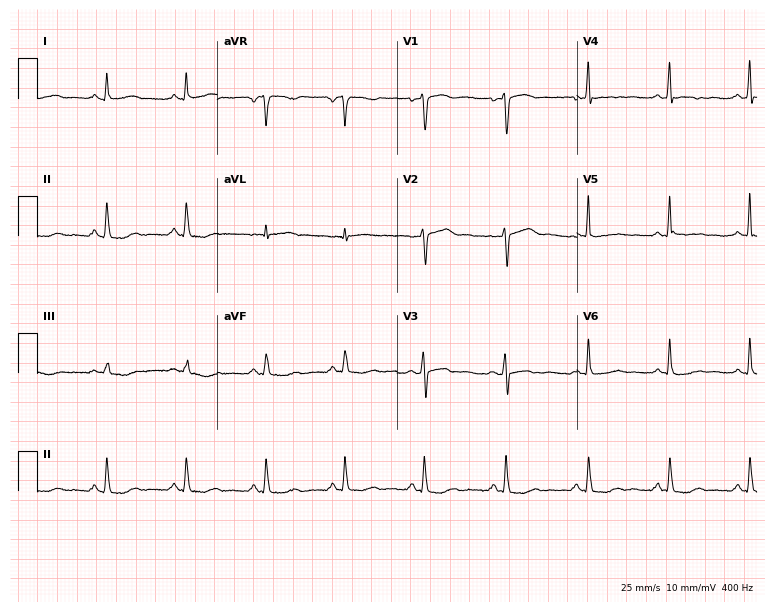
12-lead ECG from a female patient, 51 years old. No first-degree AV block, right bundle branch block (RBBB), left bundle branch block (LBBB), sinus bradycardia, atrial fibrillation (AF) or sinus tachycardia recorded for this tracing.